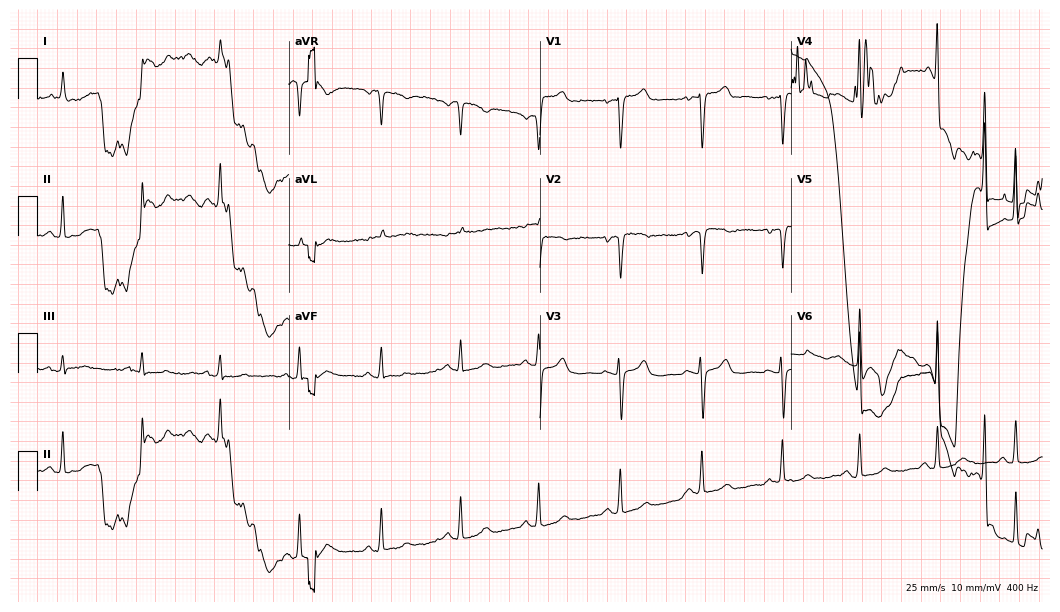
ECG (10.2-second recording at 400 Hz) — a female, 66 years old. Screened for six findings — first-degree AV block, right bundle branch block, left bundle branch block, sinus bradycardia, atrial fibrillation, sinus tachycardia — none is recorded.